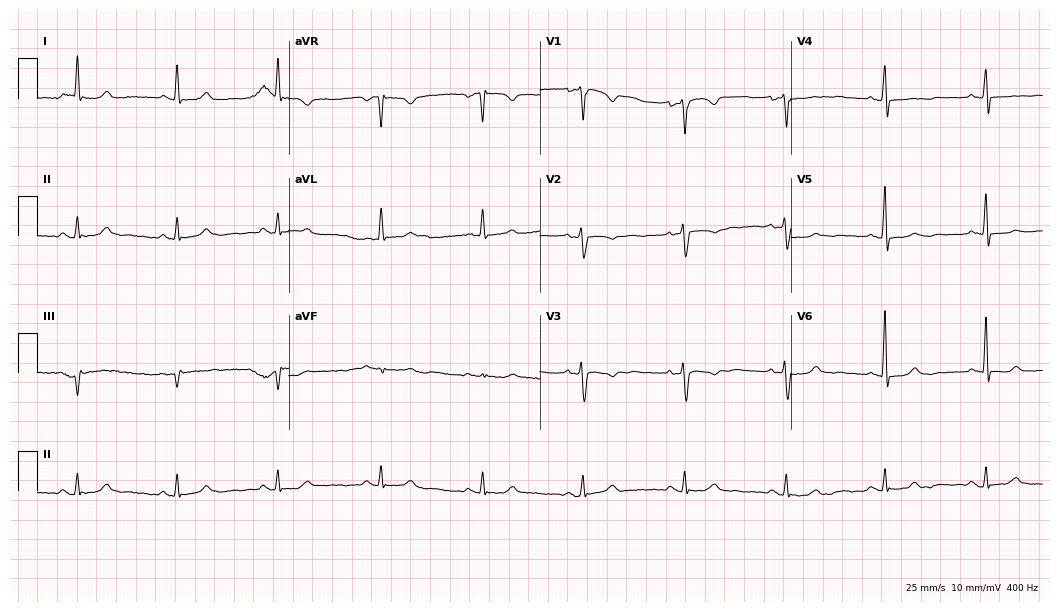
12-lead ECG (10.2-second recording at 400 Hz) from a woman, 60 years old. Screened for six findings — first-degree AV block, right bundle branch block (RBBB), left bundle branch block (LBBB), sinus bradycardia, atrial fibrillation (AF), sinus tachycardia — none is recorded. Other findings, if any, are not listed.